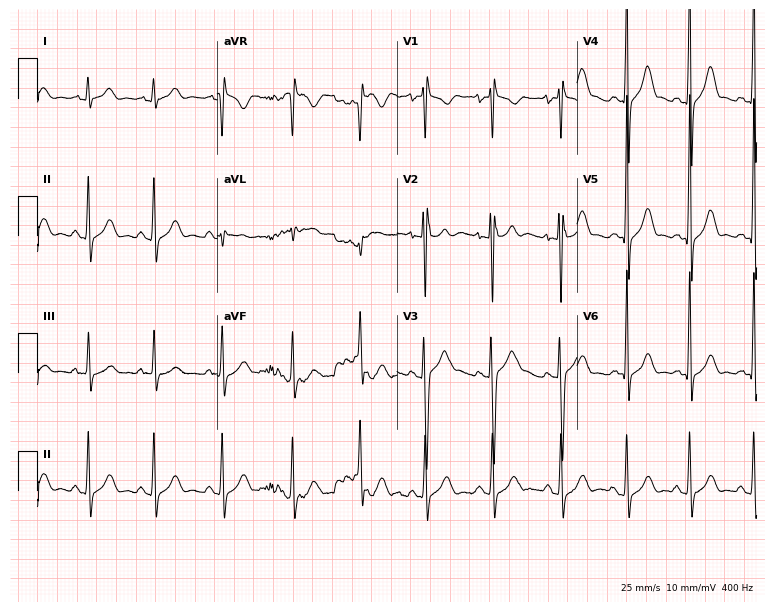
12-lead ECG from a male patient, 17 years old (7.3-second recording at 400 Hz). No first-degree AV block, right bundle branch block (RBBB), left bundle branch block (LBBB), sinus bradycardia, atrial fibrillation (AF) or sinus tachycardia recorded for this tracing.